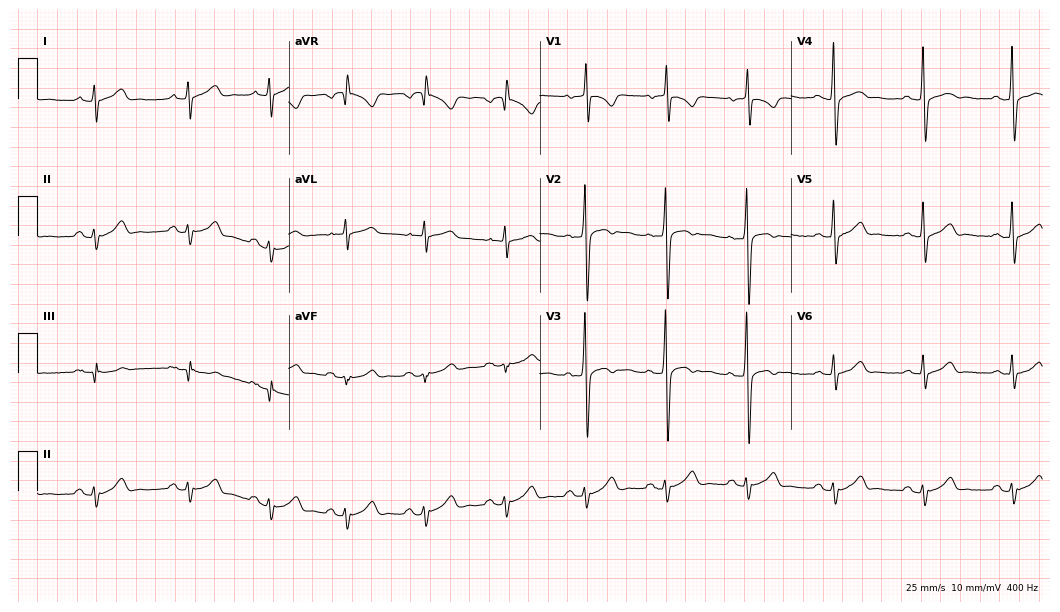
ECG — a 41-year-old male. Labelled as a normal ECG.